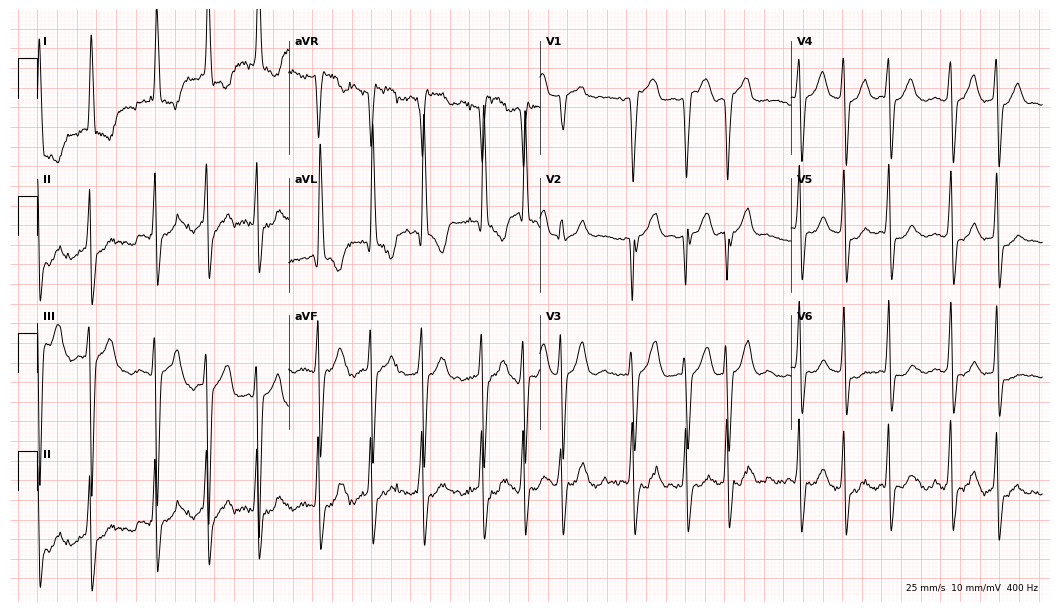
12-lead ECG from a female, 79 years old. Shows atrial fibrillation.